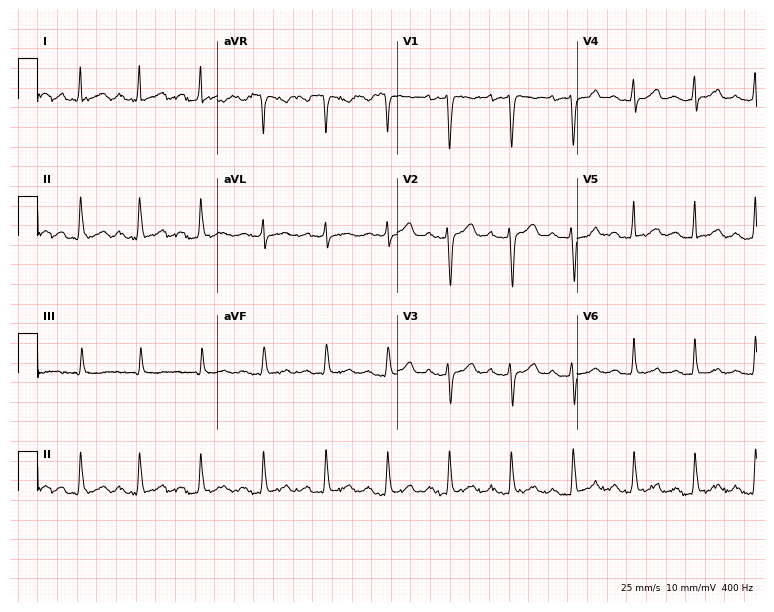
Standard 12-lead ECG recorded from a woman, 33 years old (7.3-second recording at 400 Hz). Read as a normal ECG.